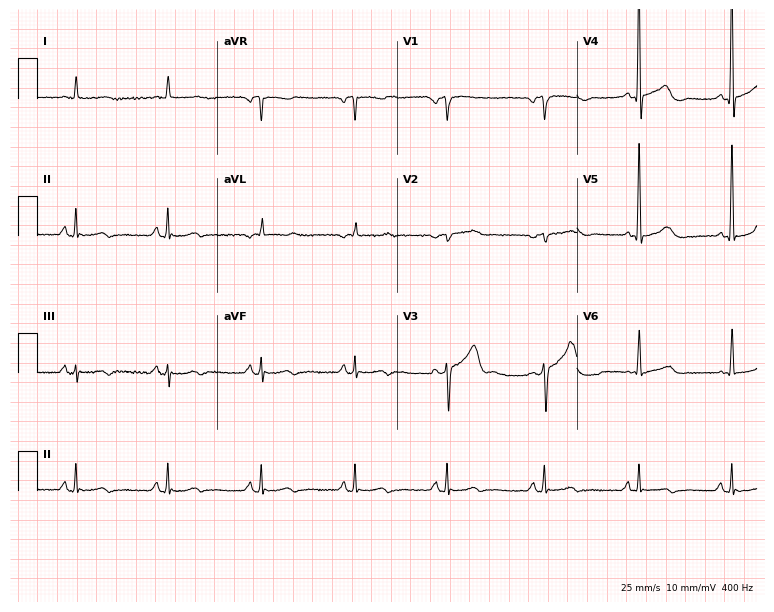
ECG — a man, 72 years old. Screened for six findings — first-degree AV block, right bundle branch block (RBBB), left bundle branch block (LBBB), sinus bradycardia, atrial fibrillation (AF), sinus tachycardia — none is recorded.